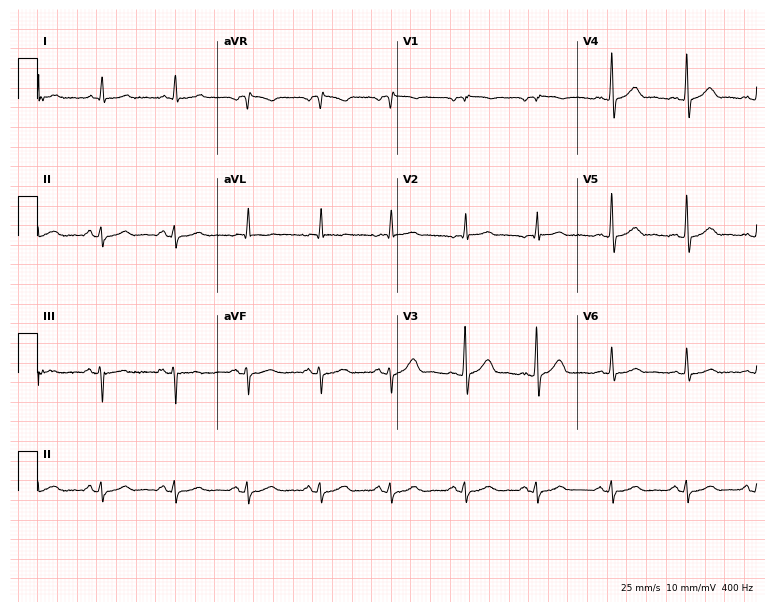
12-lead ECG from a 62-year-old male patient. Screened for six findings — first-degree AV block, right bundle branch block, left bundle branch block, sinus bradycardia, atrial fibrillation, sinus tachycardia — none is recorded. Findings outside these six are not listed.